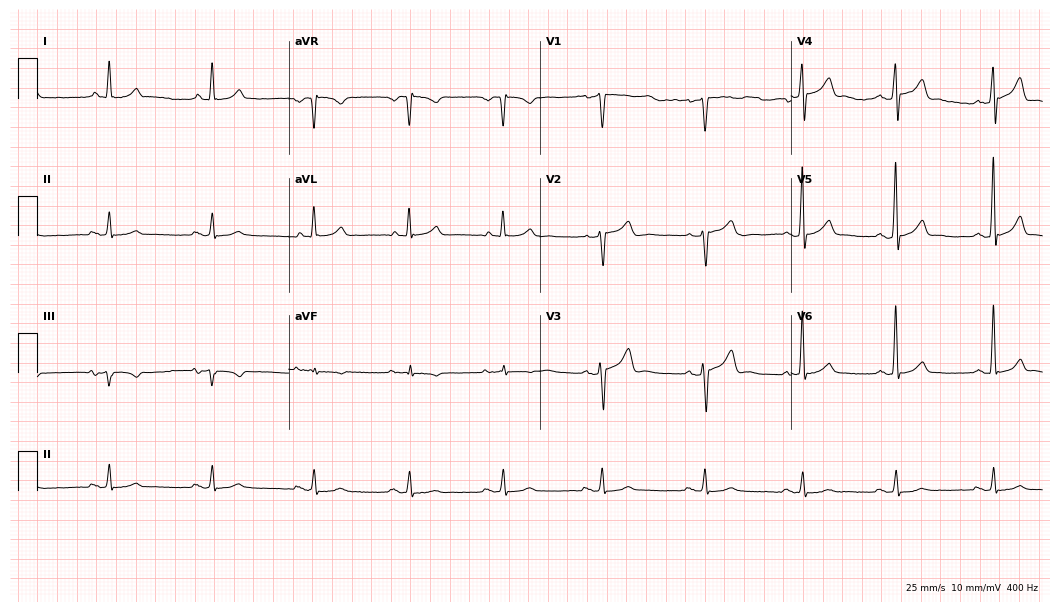
ECG (10.2-second recording at 400 Hz) — a male, 59 years old. Labelled as a normal ECG.